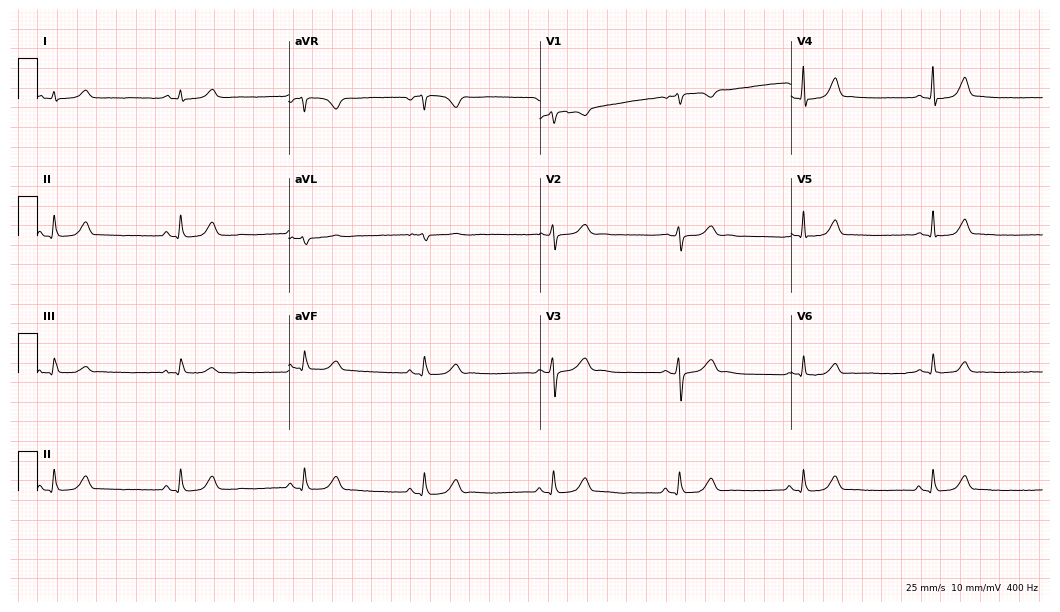
Electrocardiogram (10.2-second recording at 400 Hz), a 39-year-old female patient. Interpretation includes sinus bradycardia (a sinus rate of 50 beats per minute or less).